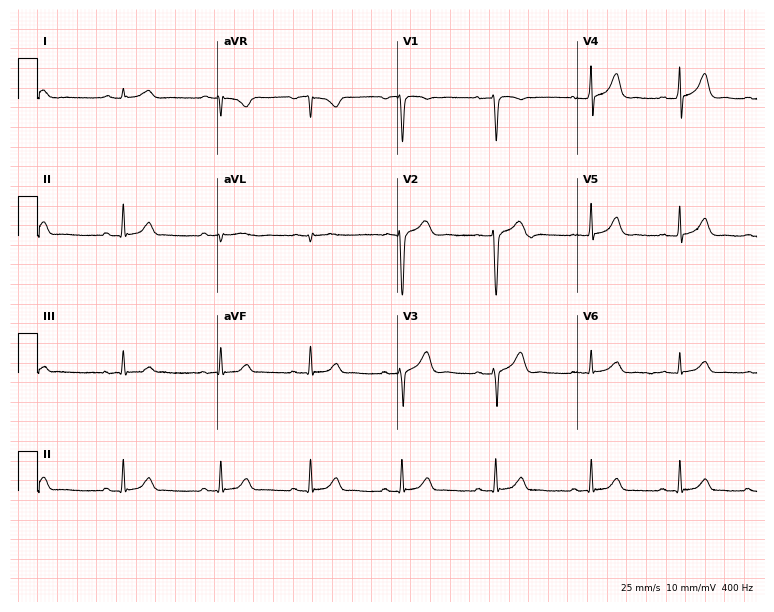
12-lead ECG from a man, 33 years old. Screened for six findings — first-degree AV block, right bundle branch block (RBBB), left bundle branch block (LBBB), sinus bradycardia, atrial fibrillation (AF), sinus tachycardia — none is recorded. Only these six findings were labelled.